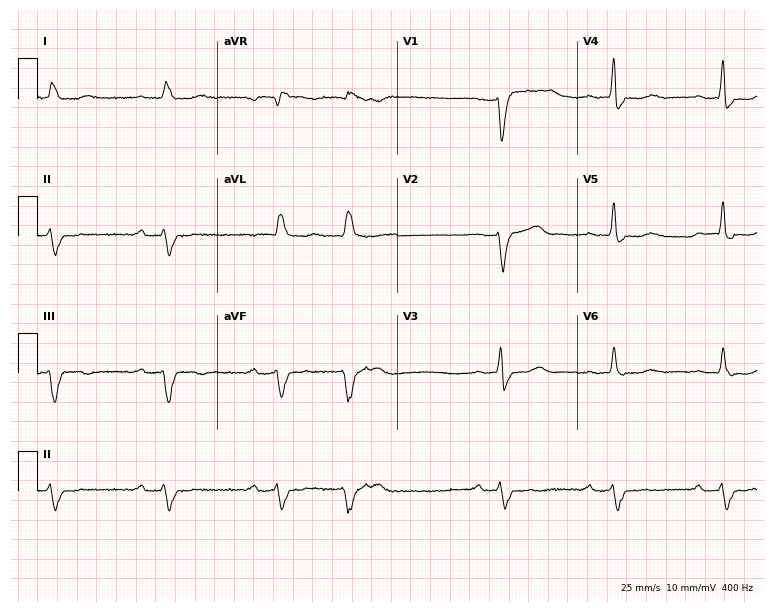
ECG — a male patient, 82 years old. Screened for six findings — first-degree AV block, right bundle branch block, left bundle branch block, sinus bradycardia, atrial fibrillation, sinus tachycardia — none is recorded. Other findings, if any, are not listed.